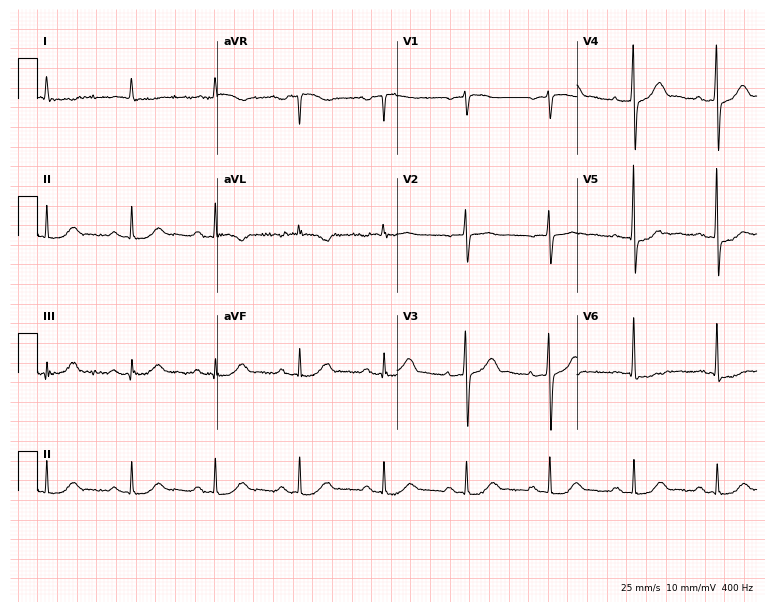
Standard 12-lead ECG recorded from an 83-year-old male. None of these six findings is recorded: first-degree AV block, right bundle branch block (RBBB), left bundle branch block (LBBB), sinus bradycardia, atrial fibrillation (AF), sinus tachycardia. Only these six findings were labelled.